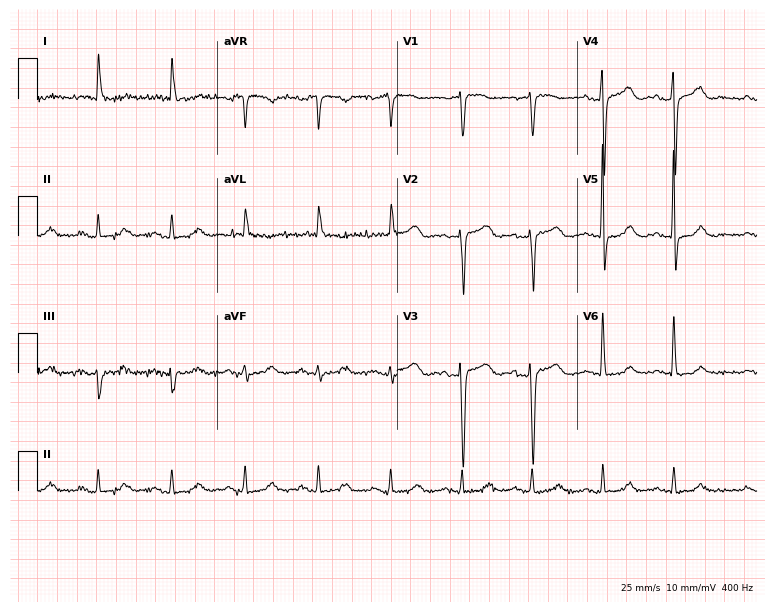
Resting 12-lead electrocardiogram. Patient: an 80-year-old female. Read as a normal ECG.